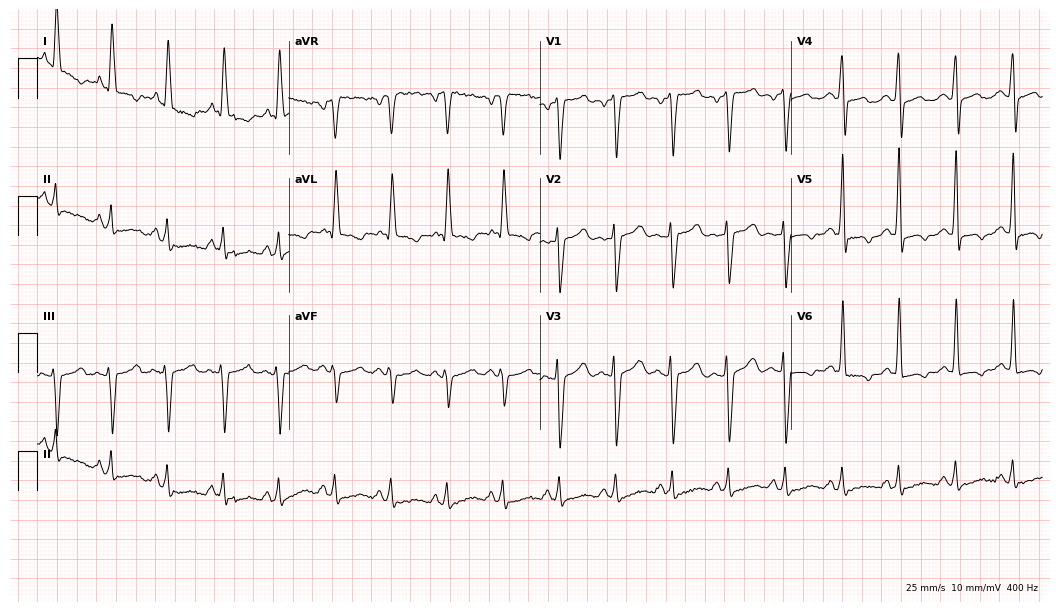
ECG (10.2-second recording at 400 Hz) — a 66-year-old female patient. Screened for six findings — first-degree AV block, right bundle branch block (RBBB), left bundle branch block (LBBB), sinus bradycardia, atrial fibrillation (AF), sinus tachycardia — none is recorded.